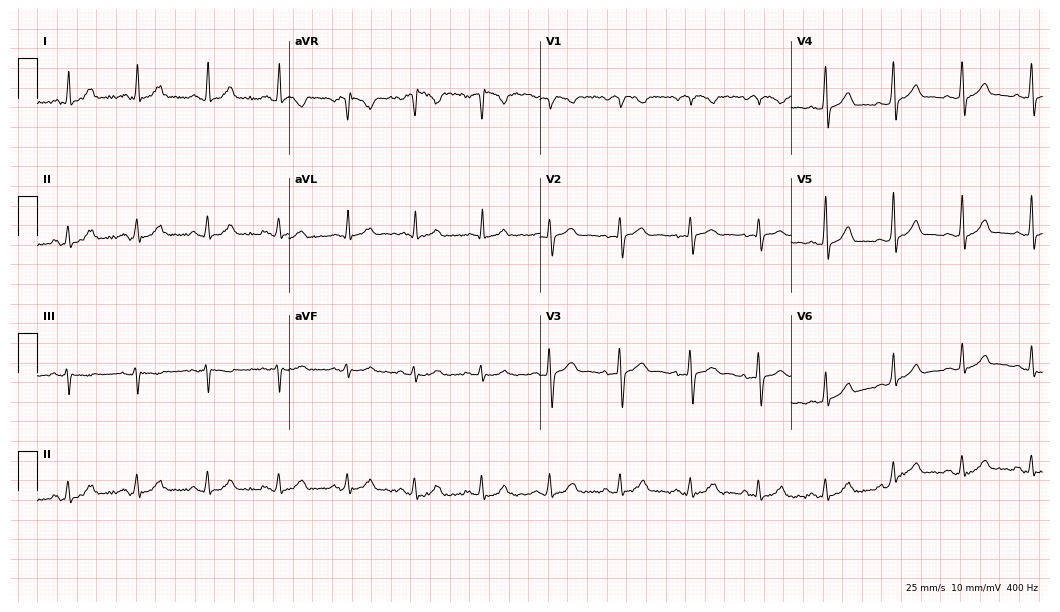
Resting 12-lead electrocardiogram. Patient: a 31-year-old female. Read as a normal ECG.